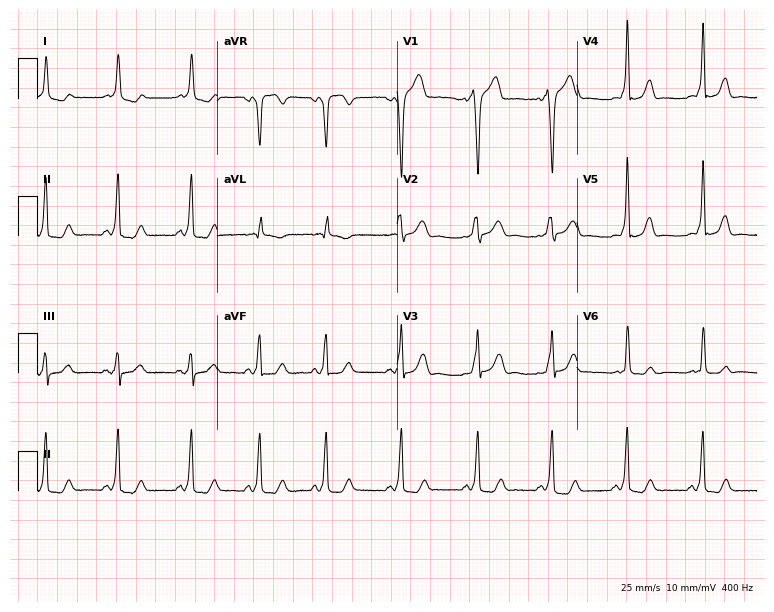
12-lead ECG from a man, 19 years old. Screened for six findings — first-degree AV block, right bundle branch block, left bundle branch block, sinus bradycardia, atrial fibrillation, sinus tachycardia — none is recorded. Findings outside these six are not listed.